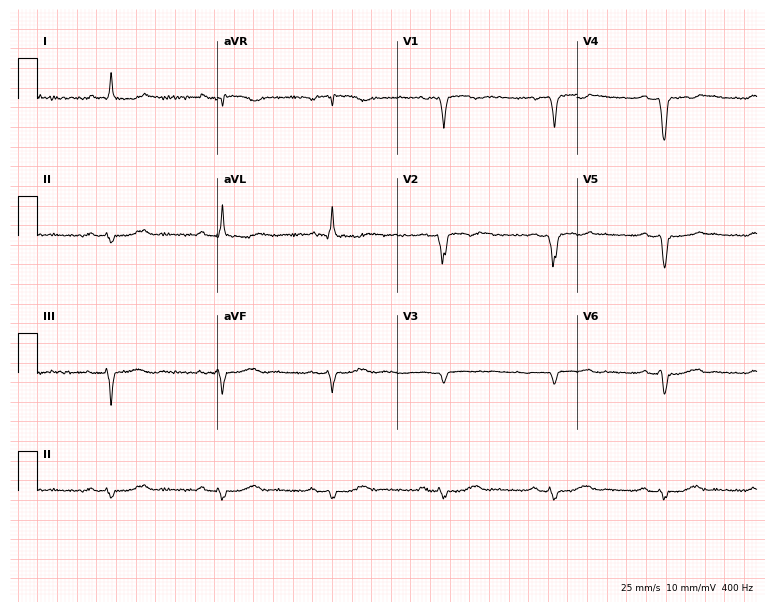
Resting 12-lead electrocardiogram. Patient: a man, 76 years old. None of these six findings is recorded: first-degree AV block, right bundle branch block, left bundle branch block, sinus bradycardia, atrial fibrillation, sinus tachycardia. Findings outside these six are not listed.